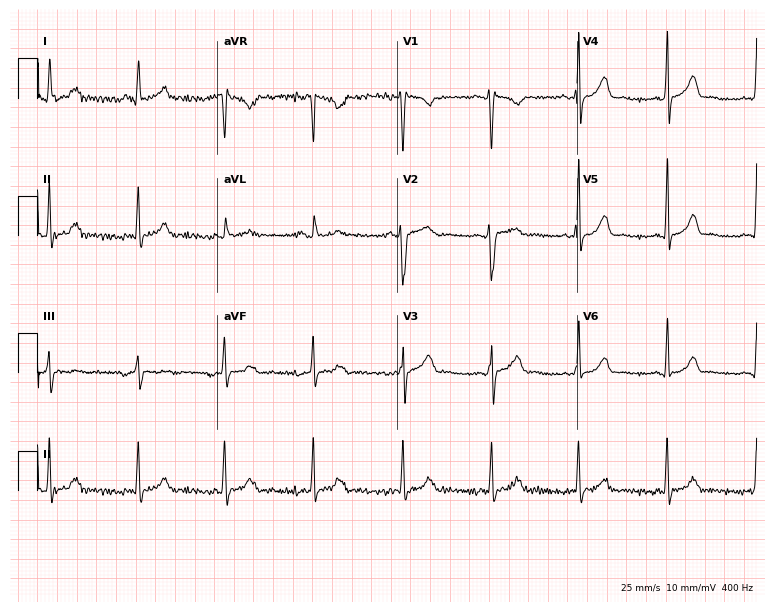
Resting 12-lead electrocardiogram (7.3-second recording at 400 Hz). Patient: a 38-year-old female. Read as a normal ECG.